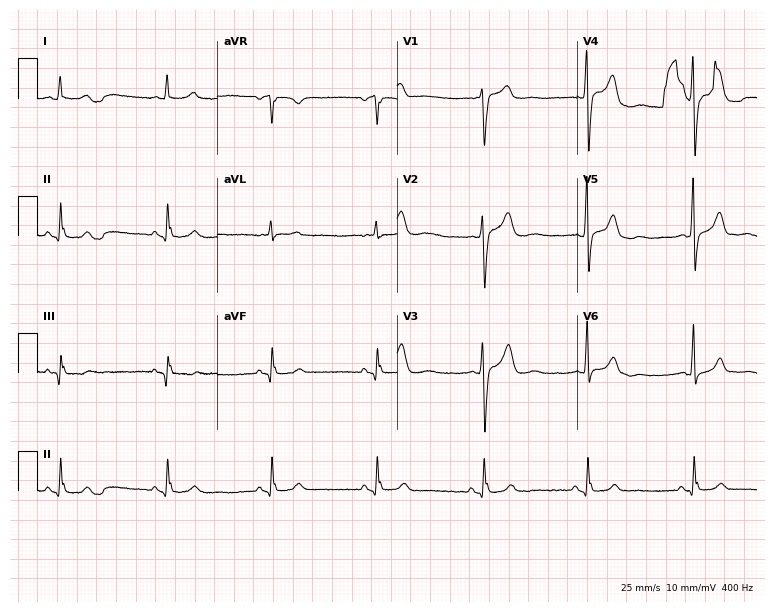
ECG (7.3-second recording at 400 Hz) — a male patient, 66 years old. Screened for six findings — first-degree AV block, right bundle branch block, left bundle branch block, sinus bradycardia, atrial fibrillation, sinus tachycardia — none is recorded. Only these six findings were labelled.